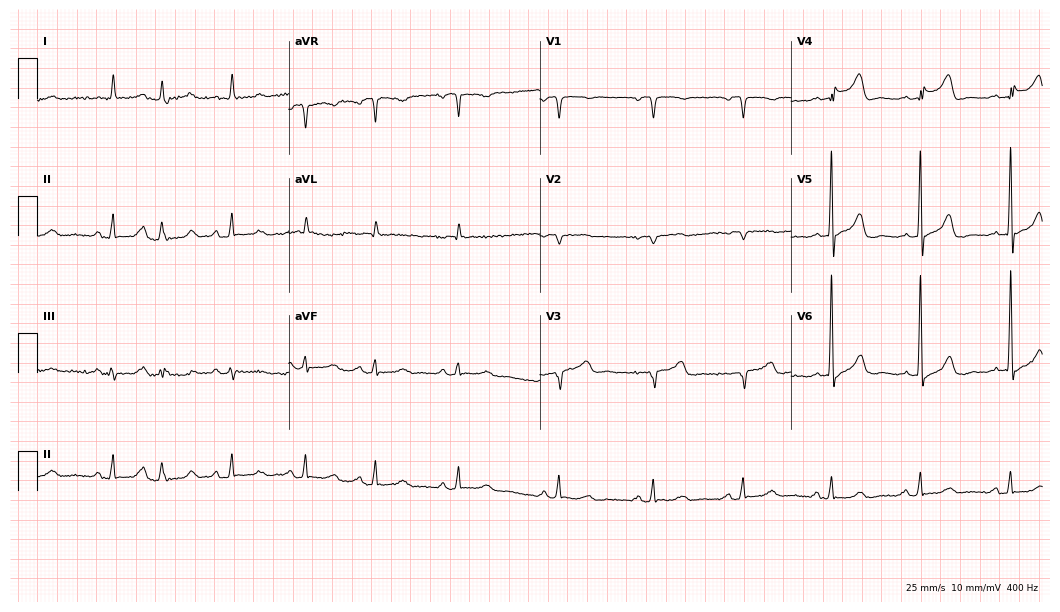
Resting 12-lead electrocardiogram. Patient: a 70-year-old man. None of these six findings is recorded: first-degree AV block, right bundle branch block, left bundle branch block, sinus bradycardia, atrial fibrillation, sinus tachycardia.